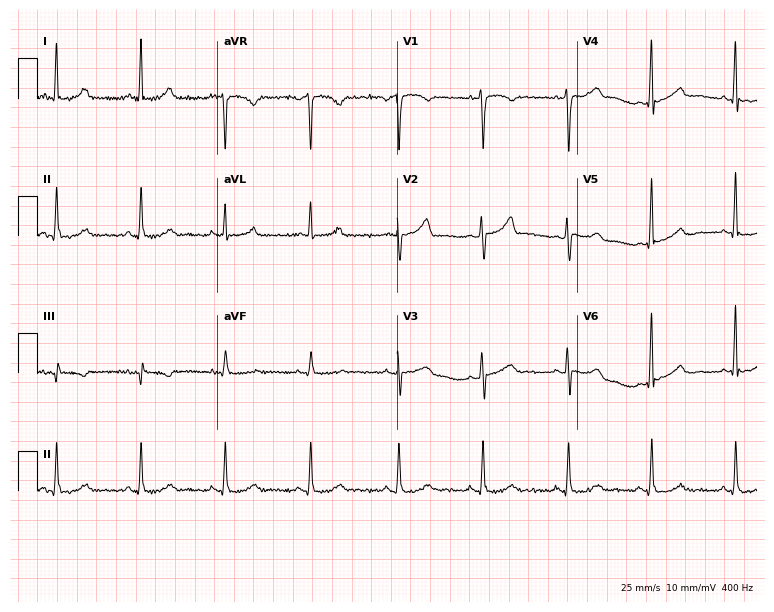
Electrocardiogram (7.3-second recording at 400 Hz), a woman, 52 years old. Overall reading on record: normal ECG.